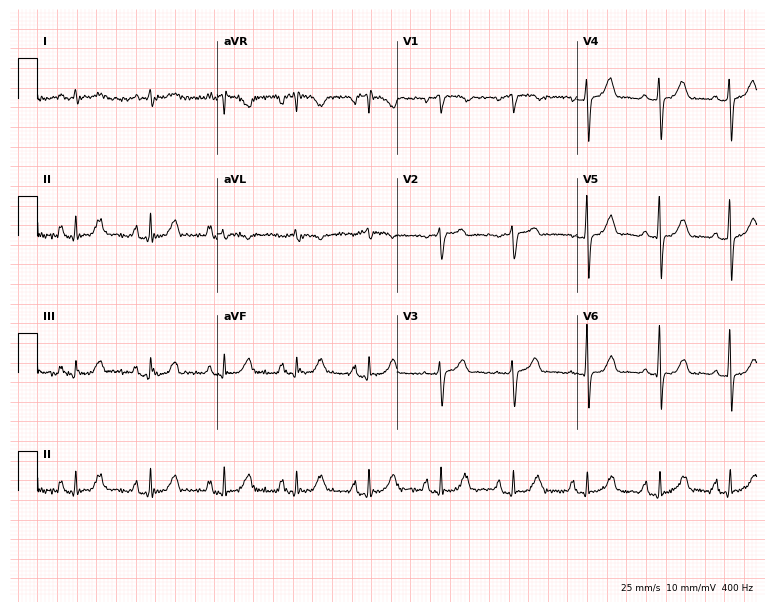
Electrocardiogram (7.3-second recording at 400 Hz), a male patient, 63 years old. Of the six screened findings (first-degree AV block, right bundle branch block, left bundle branch block, sinus bradycardia, atrial fibrillation, sinus tachycardia), none is recorded. Only these six findings were labelled.